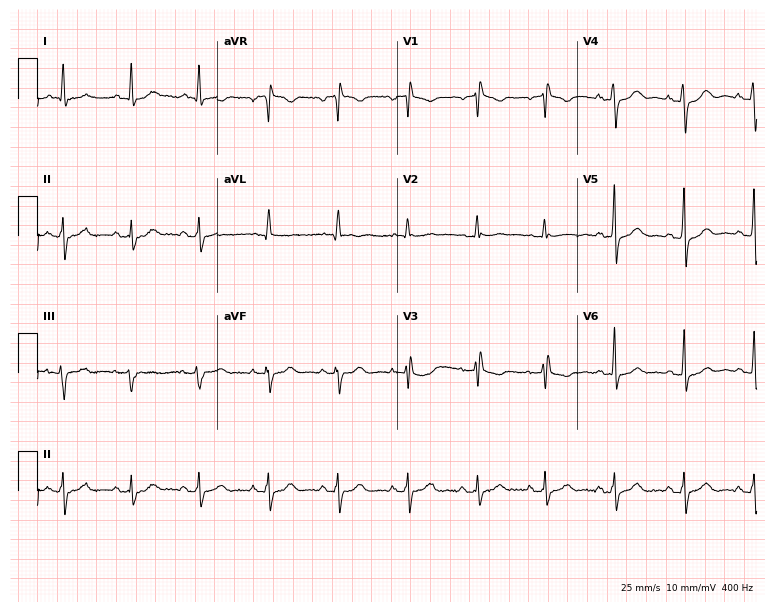
Electrocardiogram, a male, 63 years old. Of the six screened findings (first-degree AV block, right bundle branch block, left bundle branch block, sinus bradycardia, atrial fibrillation, sinus tachycardia), none is recorded.